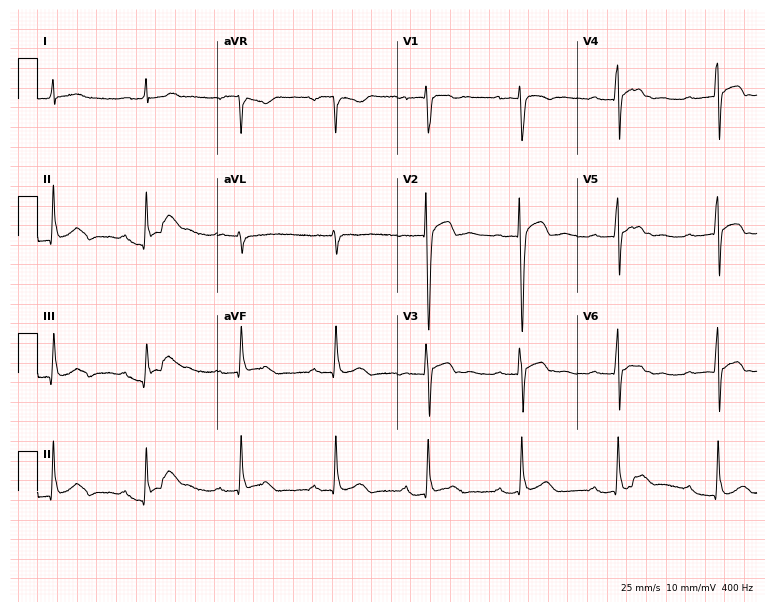
Standard 12-lead ECG recorded from a 42-year-old male patient (7.3-second recording at 400 Hz). The tracing shows first-degree AV block.